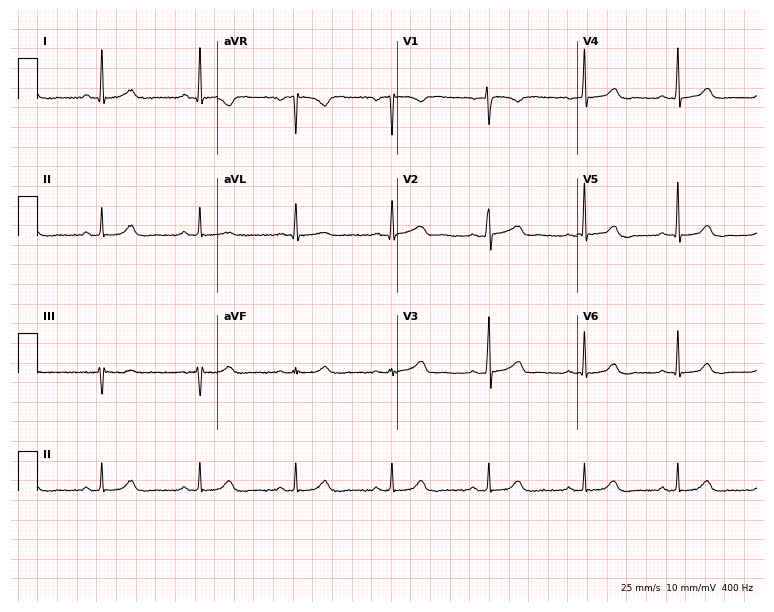
Standard 12-lead ECG recorded from a 57-year-old female patient (7.3-second recording at 400 Hz). None of these six findings is recorded: first-degree AV block, right bundle branch block, left bundle branch block, sinus bradycardia, atrial fibrillation, sinus tachycardia.